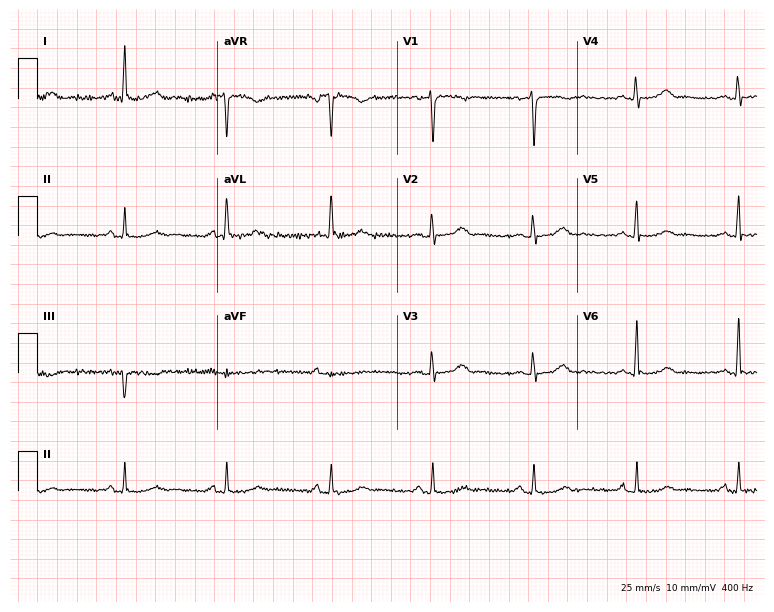
Standard 12-lead ECG recorded from a woman, 58 years old. None of these six findings is recorded: first-degree AV block, right bundle branch block (RBBB), left bundle branch block (LBBB), sinus bradycardia, atrial fibrillation (AF), sinus tachycardia.